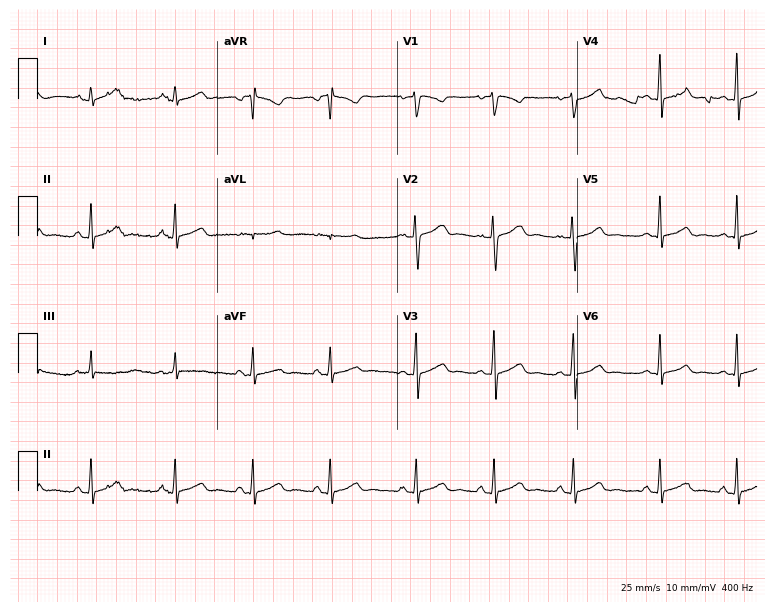
12-lead ECG from a female, 19 years old. Labelled as a normal ECG.